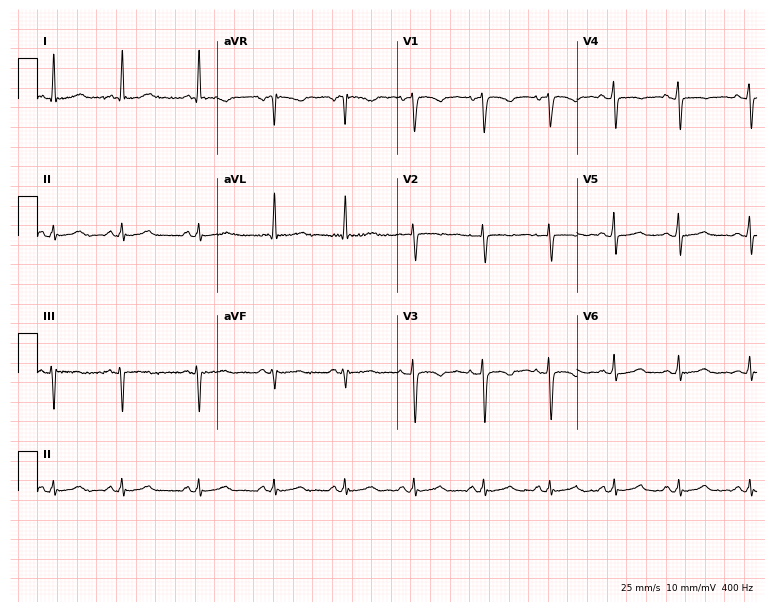
Resting 12-lead electrocardiogram (7.3-second recording at 400 Hz). Patient: a woman, 31 years old. None of these six findings is recorded: first-degree AV block, right bundle branch block, left bundle branch block, sinus bradycardia, atrial fibrillation, sinus tachycardia. Only these six findings were labelled.